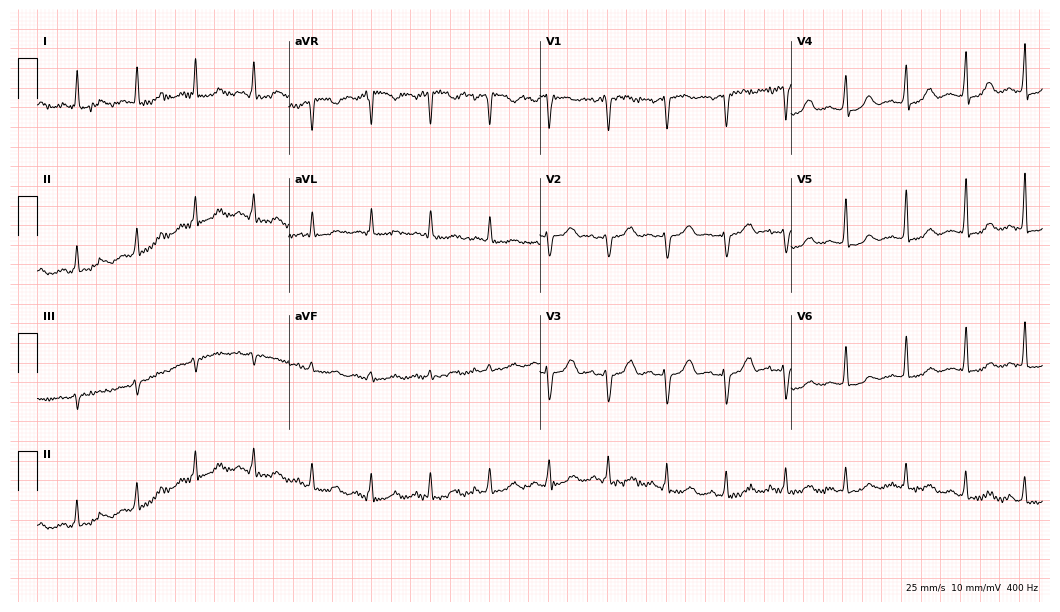
Standard 12-lead ECG recorded from a 54-year-old woman (10.2-second recording at 400 Hz). None of these six findings is recorded: first-degree AV block, right bundle branch block, left bundle branch block, sinus bradycardia, atrial fibrillation, sinus tachycardia. Other findings, if any, are not listed.